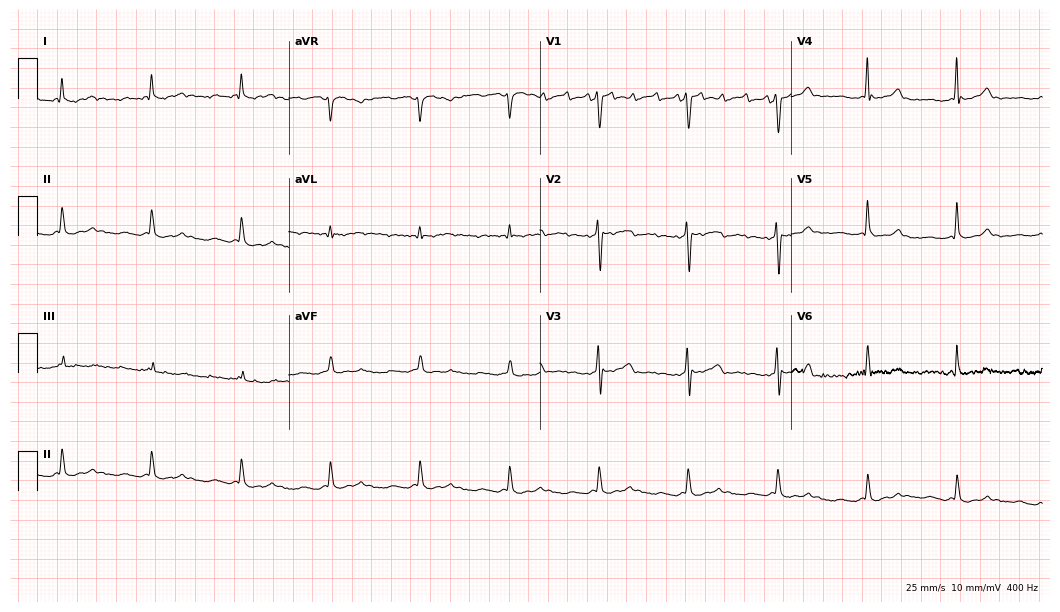
12-lead ECG (10.2-second recording at 400 Hz) from a 45-year-old female. Screened for six findings — first-degree AV block, right bundle branch block, left bundle branch block, sinus bradycardia, atrial fibrillation, sinus tachycardia — none is recorded.